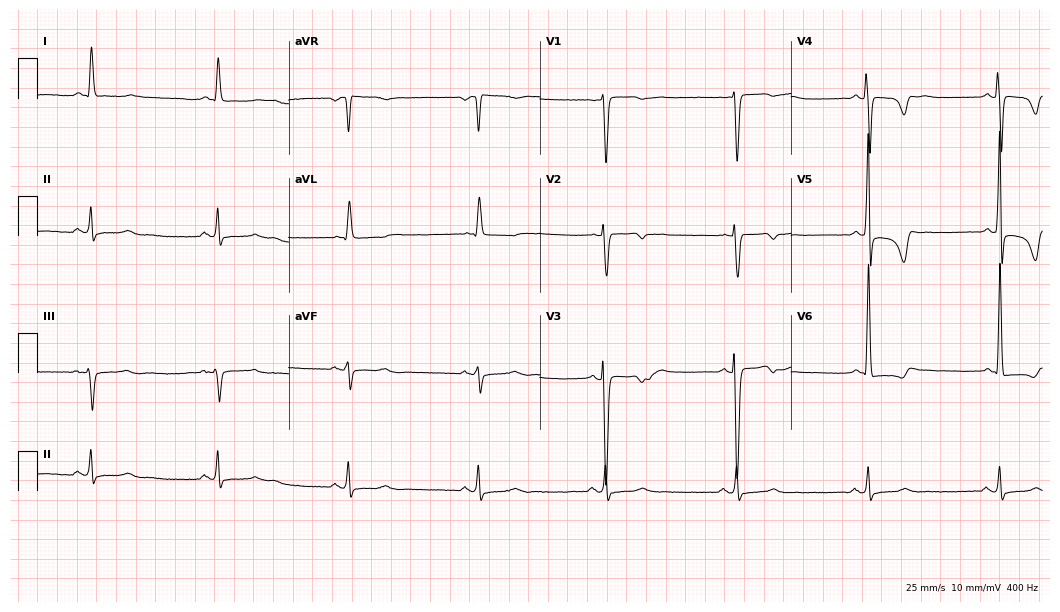
ECG (10.2-second recording at 400 Hz) — a woman, 43 years old. Findings include sinus bradycardia (a sinus rate of 50 beats per minute or less).